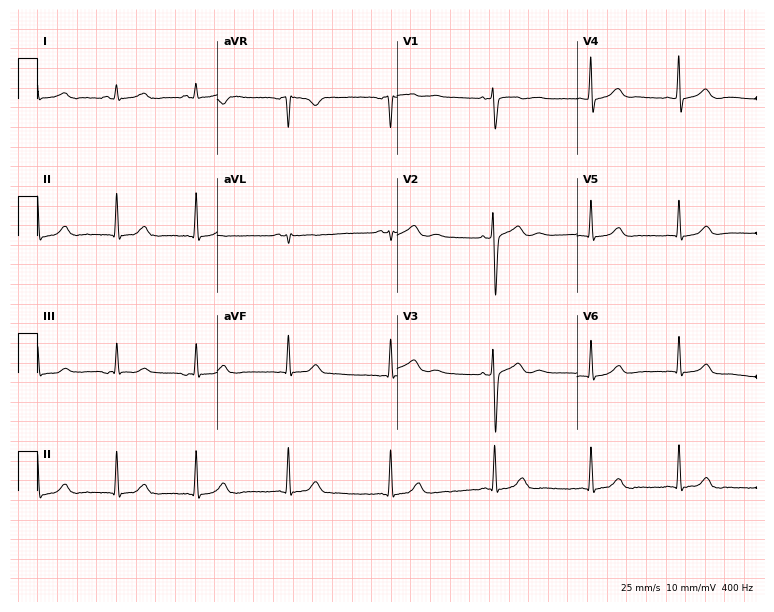
Standard 12-lead ECG recorded from a 30-year-old female patient. None of these six findings is recorded: first-degree AV block, right bundle branch block (RBBB), left bundle branch block (LBBB), sinus bradycardia, atrial fibrillation (AF), sinus tachycardia. Only these six findings were labelled.